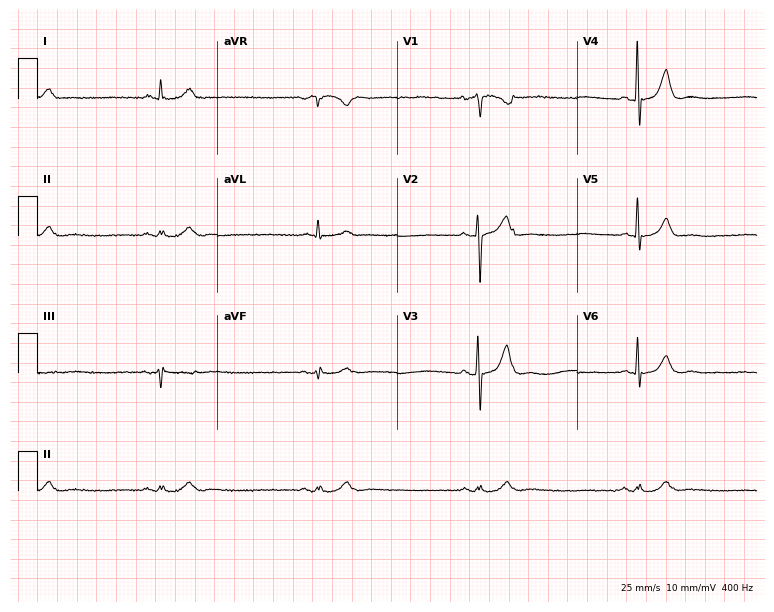
Electrocardiogram (7.3-second recording at 400 Hz), an 81-year-old man. Interpretation includes sinus bradycardia (a sinus rate of 50 beats per minute or less).